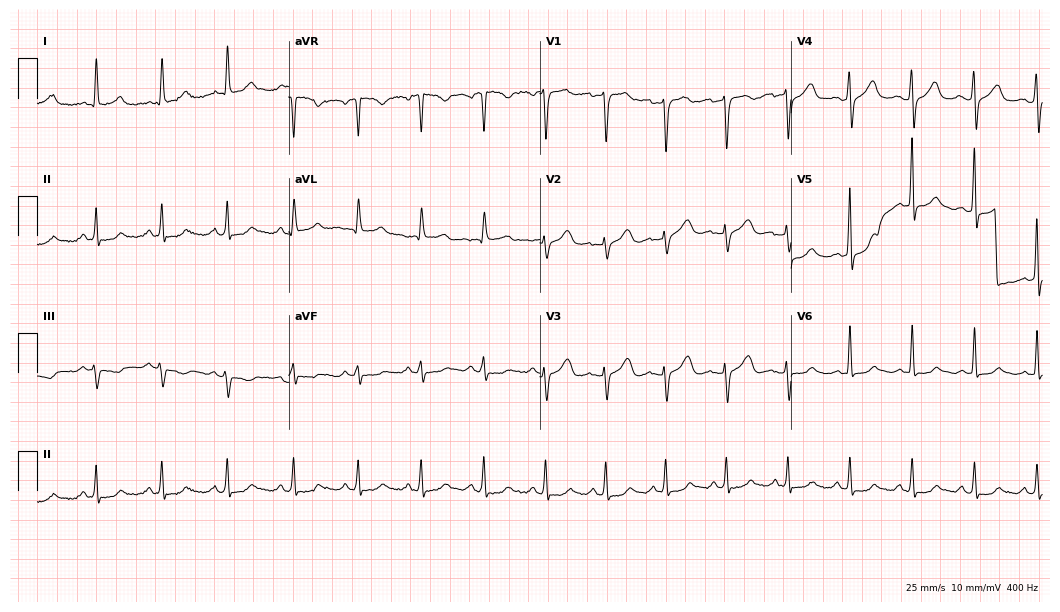
Electrocardiogram (10.2-second recording at 400 Hz), a 40-year-old female. Overall reading on record: normal ECG.